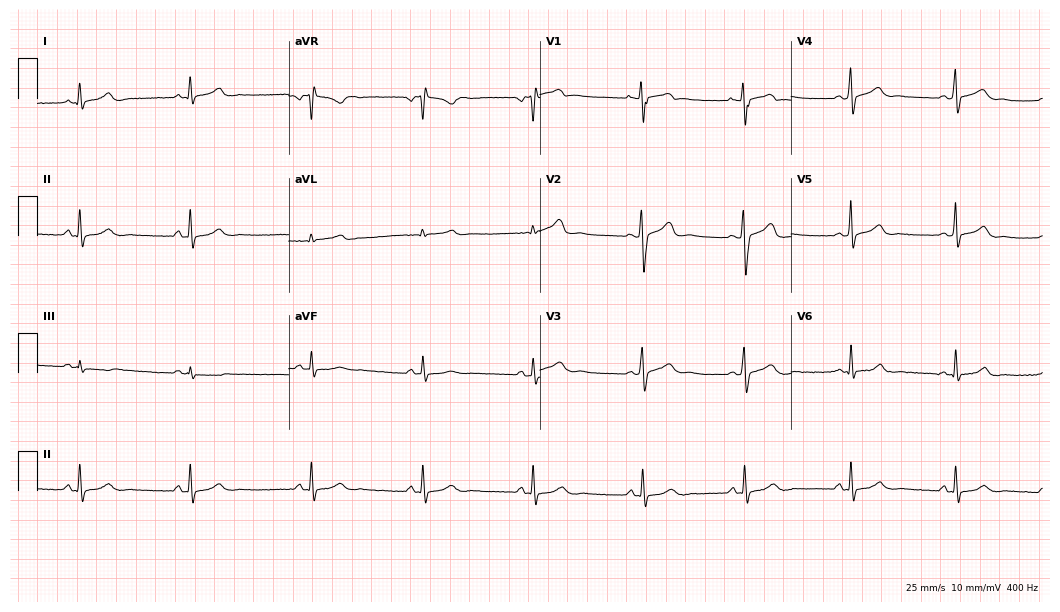
Standard 12-lead ECG recorded from a woman, 25 years old. Read as a normal ECG.